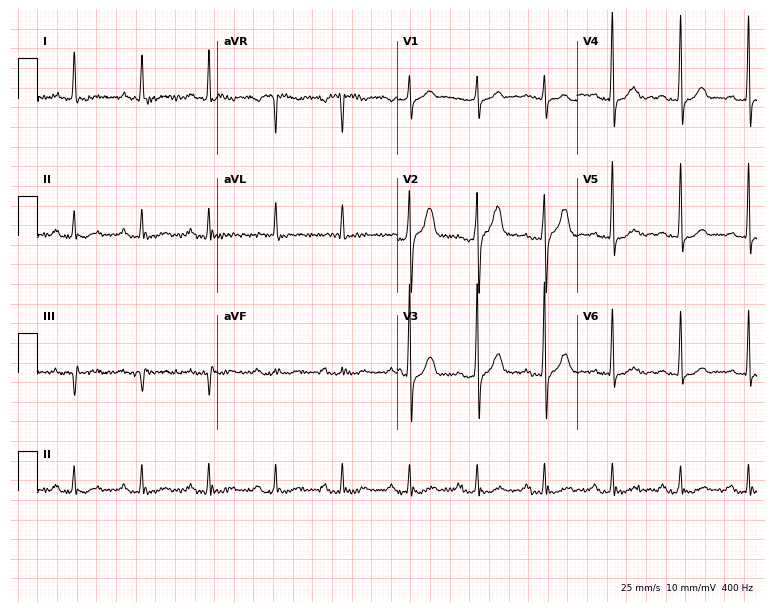
Standard 12-lead ECG recorded from a 60-year-old male (7.3-second recording at 400 Hz). The tracing shows first-degree AV block.